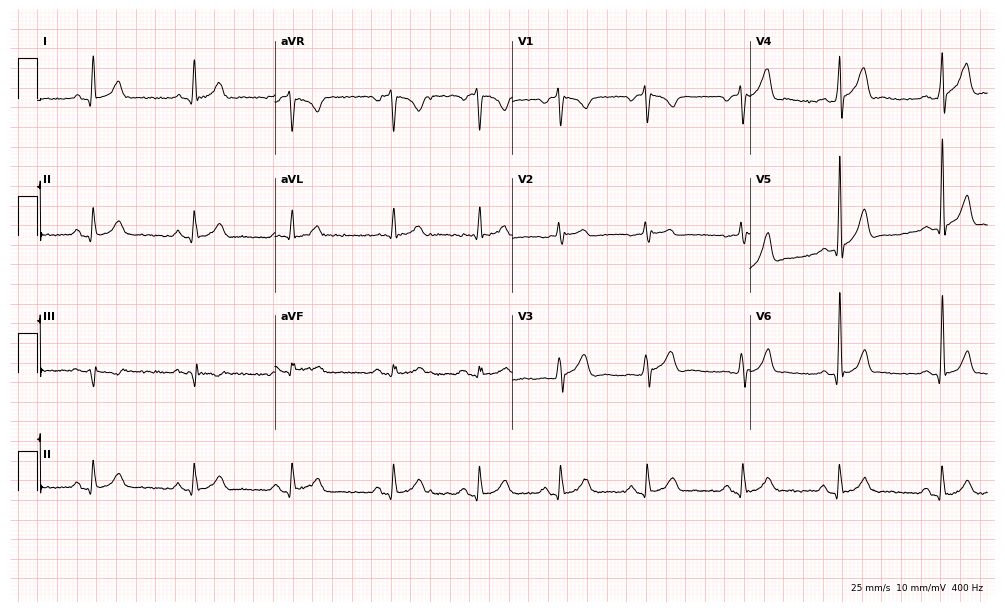
12-lead ECG (9.7-second recording at 400 Hz) from a male, 29 years old. Screened for six findings — first-degree AV block, right bundle branch block, left bundle branch block, sinus bradycardia, atrial fibrillation, sinus tachycardia — none is recorded. Other findings, if any, are not listed.